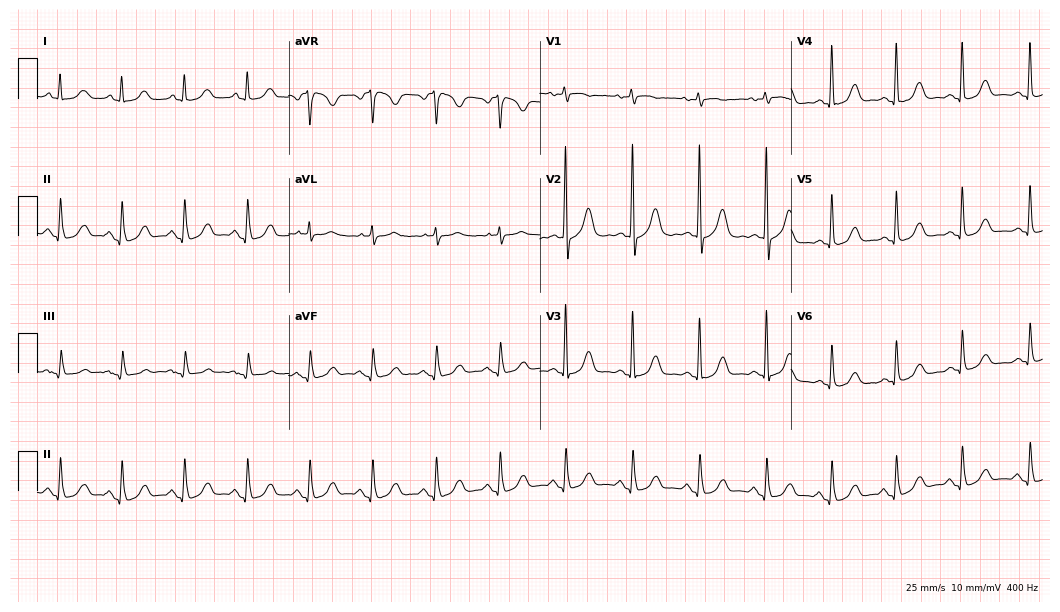
12-lead ECG from a 65-year-old female. Labelled as a normal ECG.